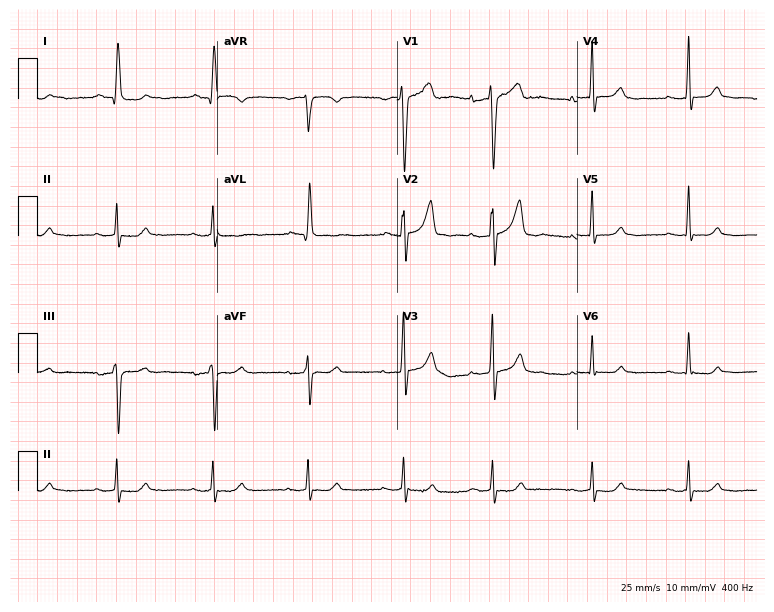
ECG (7.3-second recording at 400 Hz) — a male, 74 years old. Screened for six findings — first-degree AV block, right bundle branch block, left bundle branch block, sinus bradycardia, atrial fibrillation, sinus tachycardia — none is recorded. Only these six findings were labelled.